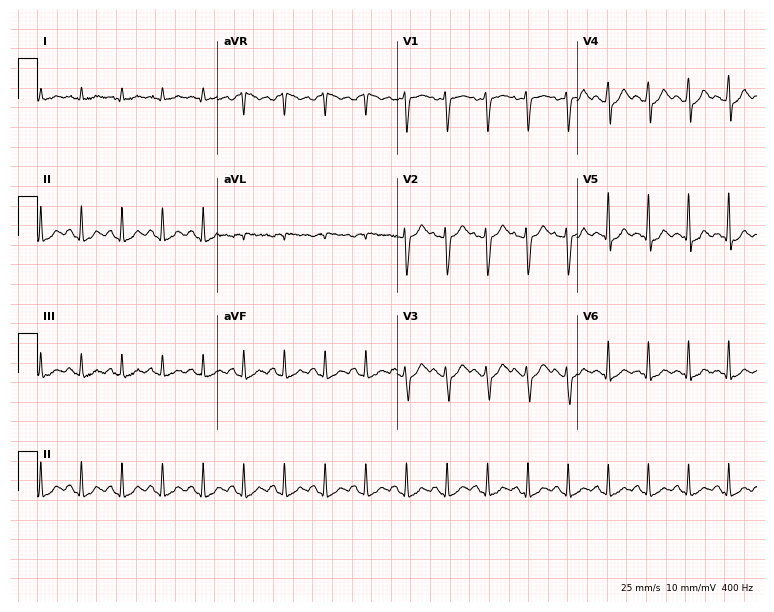
Electrocardiogram (7.3-second recording at 400 Hz), a 43-year-old female. Interpretation includes sinus tachycardia (a sinus rate of 100 beats per minute or more).